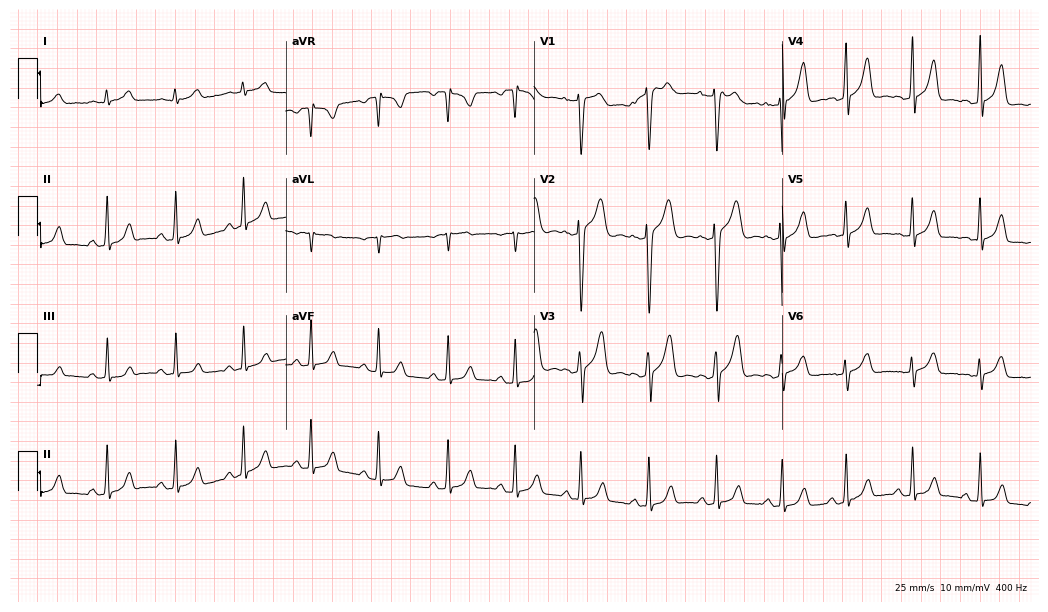
Electrocardiogram, a man, 38 years old. Overall reading on record: normal ECG.